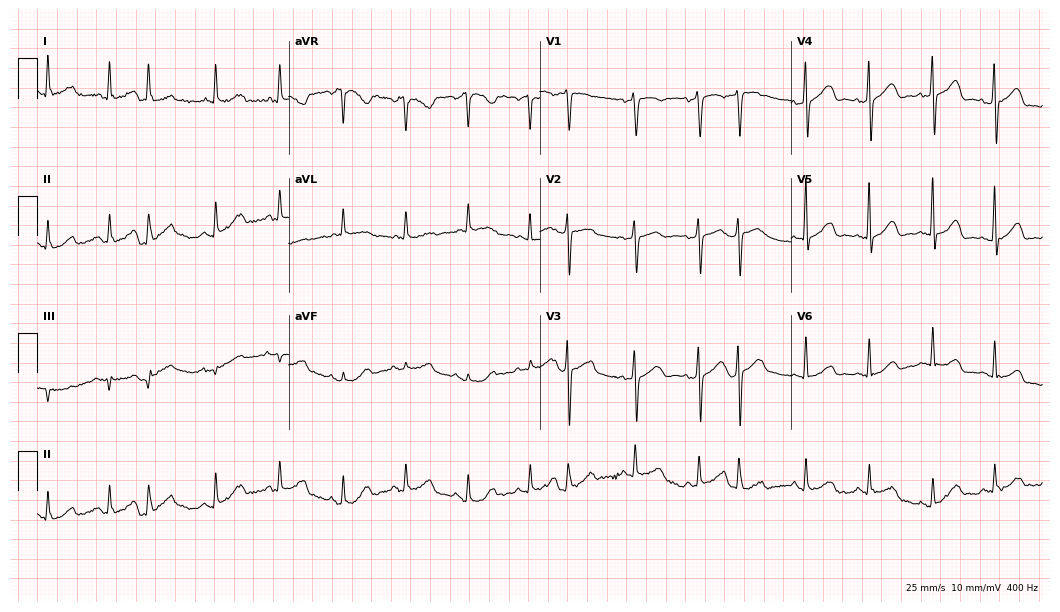
ECG (10.2-second recording at 400 Hz) — a 72-year-old woman. Screened for six findings — first-degree AV block, right bundle branch block (RBBB), left bundle branch block (LBBB), sinus bradycardia, atrial fibrillation (AF), sinus tachycardia — none is recorded. Other findings, if any, are not listed.